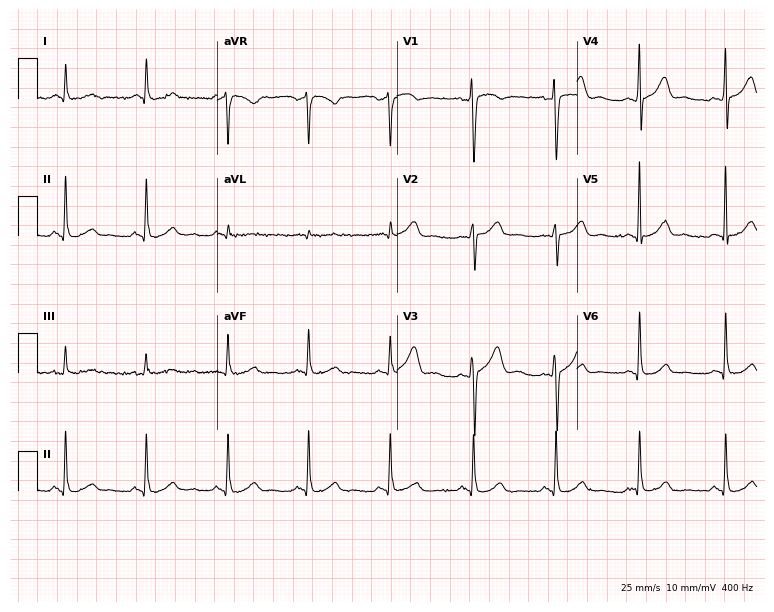
Resting 12-lead electrocardiogram (7.3-second recording at 400 Hz). Patient: a female, 48 years old. Read as a normal ECG.